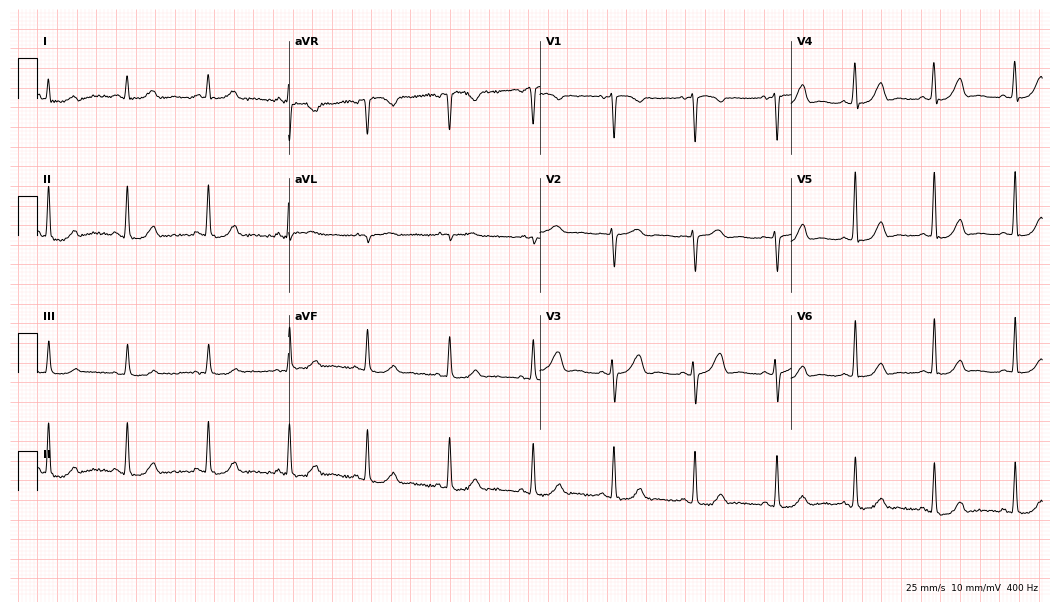
Resting 12-lead electrocardiogram. Patient: a 47-year-old female. Read as a normal ECG.